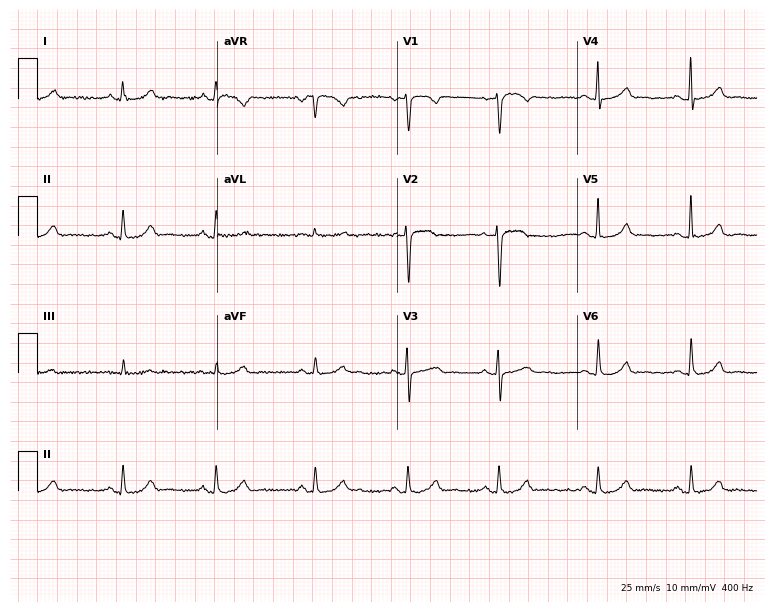
Resting 12-lead electrocardiogram (7.3-second recording at 400 Hz). Patient: a woman, 28 years old. Read as a normal ECG.